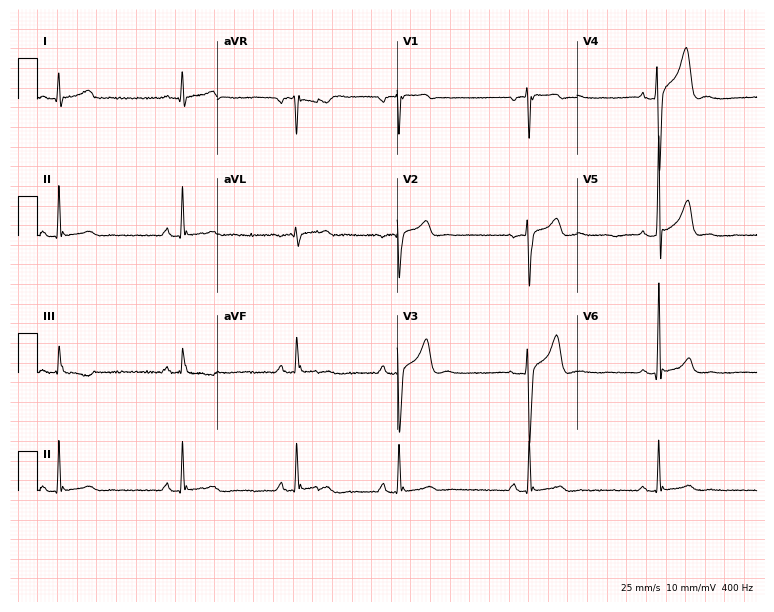
Standard 12-lead ECG recorded from a 30-year-old male patient (7.3-second recording at 400 Hz). None of these six findings is recorded: first-degree AV block, right bundle branch block (RBBB), left bundle branch block (LBBB), sinus bradycardia, atrial fibrillation (AF), sinus tachycardia. Other findings, if any, are not listed.